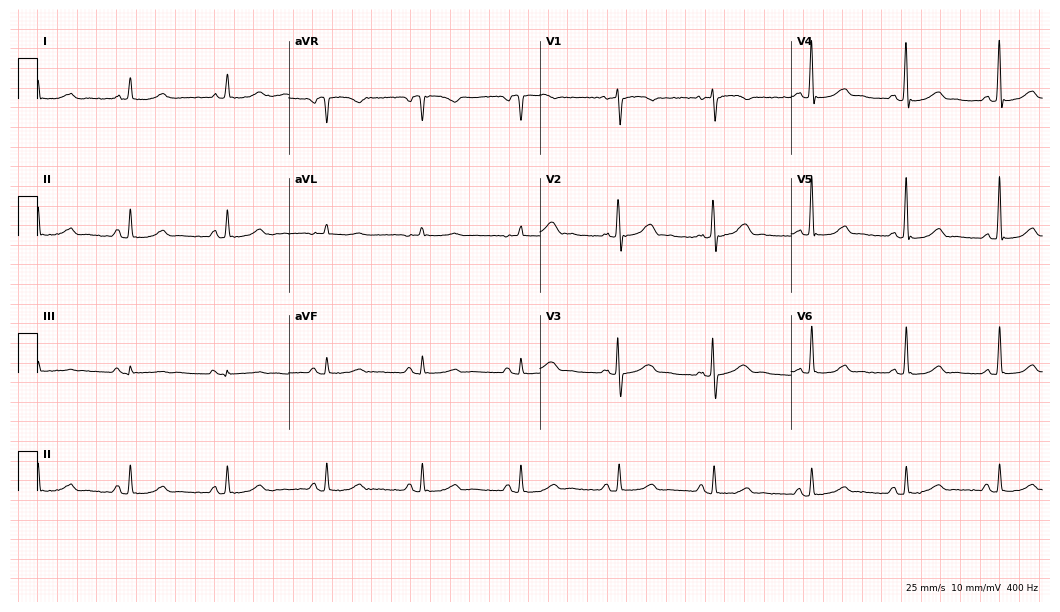
Electrocardiogram, a woman, 72 years old. Overall reading on record: normal ECG.